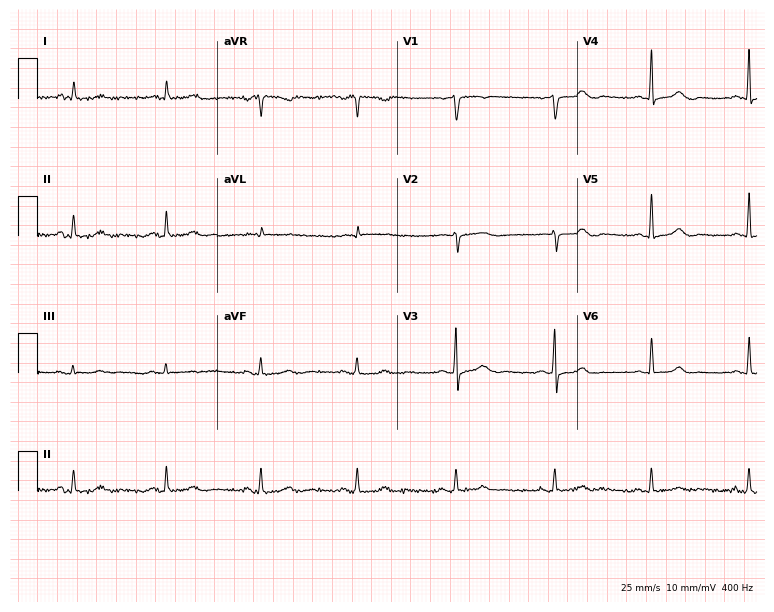
ECG — a 69-year-old male. Screened for six findings — first-degree AV block, right bundle branch block, left bundle branch block, sinus bradycardia, atrial fibrillation, sinus tachycardia — none is recorded. Other findings, if any, are not listed.